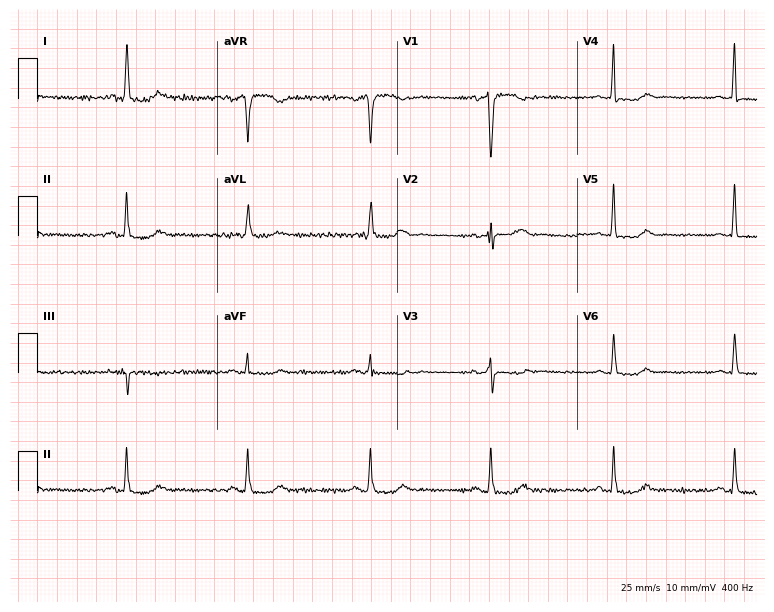
12-lead ECG (7.3-second recording at 400 Hz) from a female, 64 years old. Screened for six findings — first-degree AV block, right bundle branch block, left bundle branch block, sinus bradycardia, atrial fibrillation, sinus tachycardia — none is recorded.